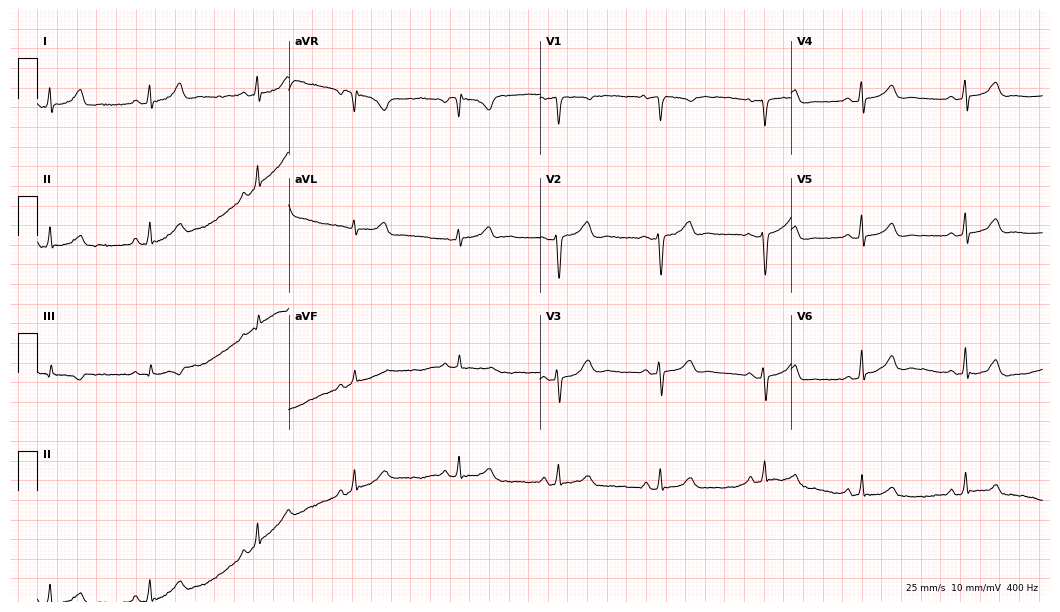
Standard 12-lead ECG recorded from a female patient, 33 years old. Read as a normal ECG.